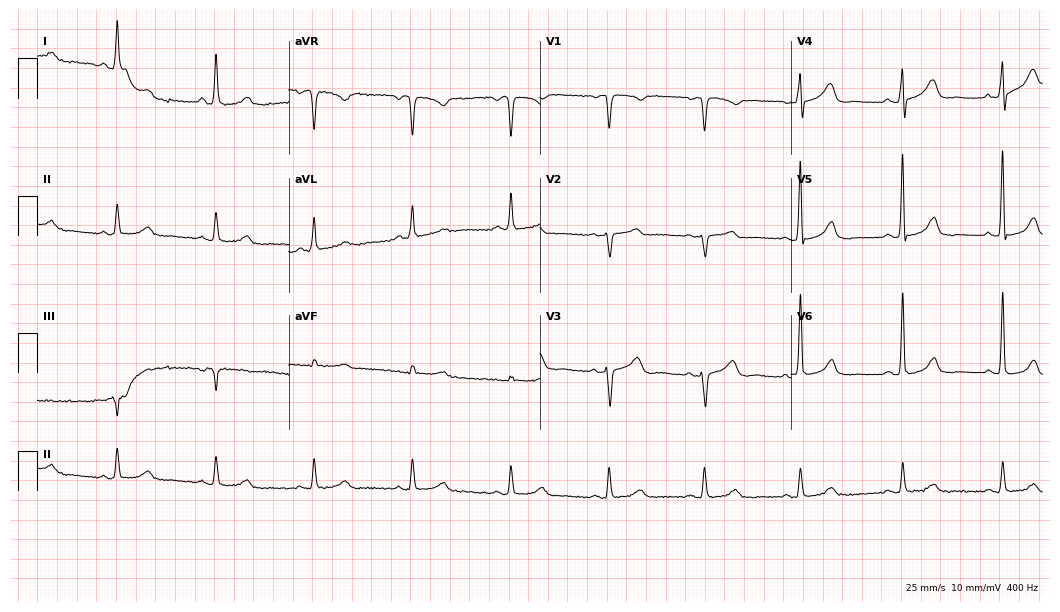
Electrocardiogram, a 66-year-old female. Overall reading on record: normal ECG.